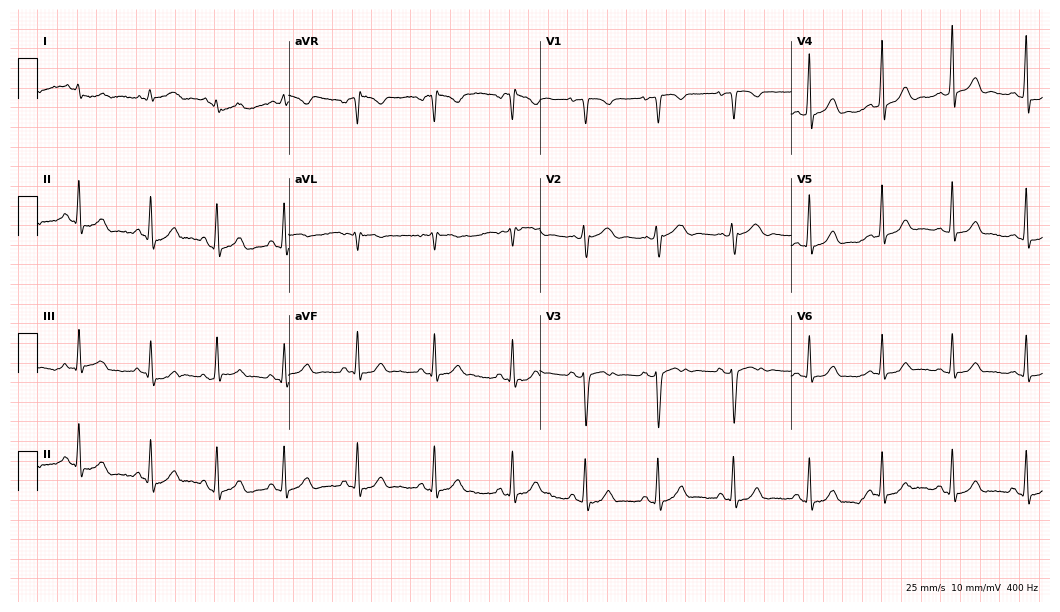
12-lead ECG from a 17-year-old woman. Labelled as a normal ECG.